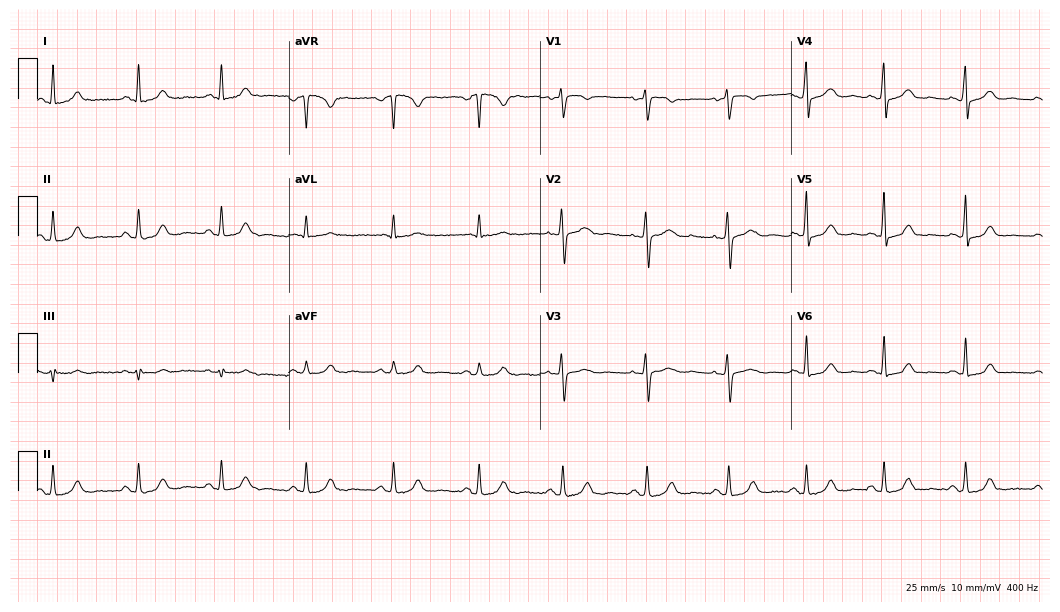
Electrocardiogram (10.2-second recording at 400 Hz), a female patient, 49 years old. Of the six screened findings (first-degree AV block, right bundle branch block, left bundle branch block, sinus bradycardia, atrial fibrillation, sinus tachycardia), none is recorded.